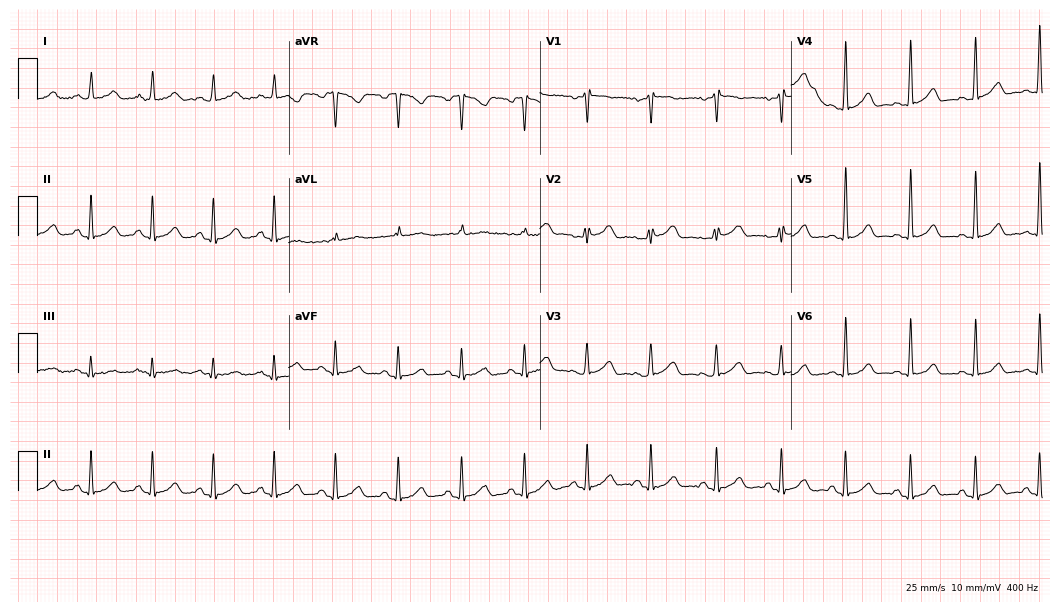
12-lead ECG from a female patient, 50 years old. Screened for six findings — first-degree AV block, right bundle branch block, left bundle branch block, sinus bradycardia, atrial fibrillation, sinus tachycardia — none is recorded. Only these six findings were labelled.